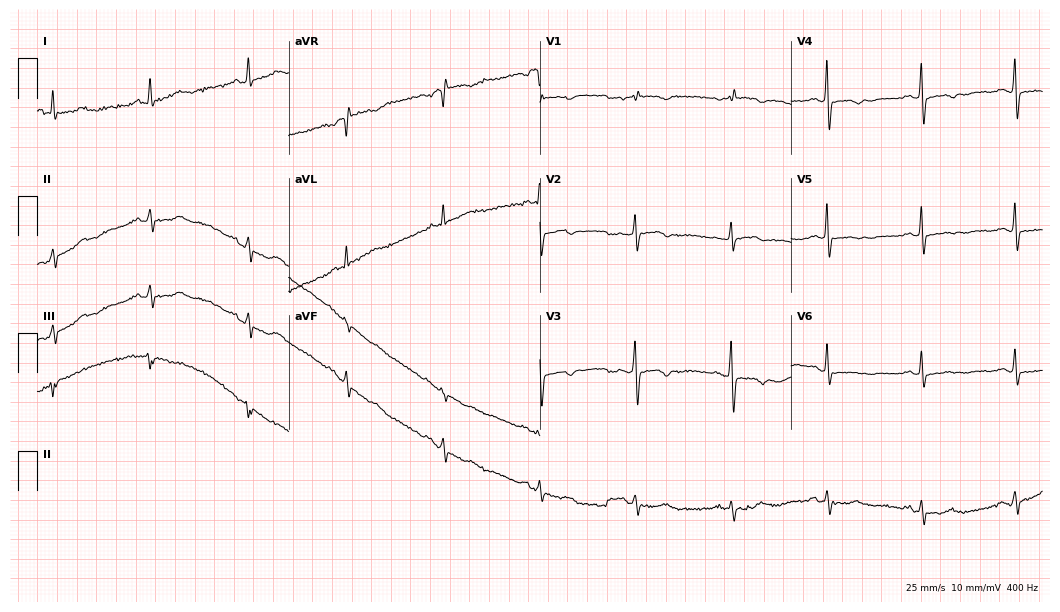
Resting 12-lead electrocardiogram. Patient: a woman, 80 years old. Read as a normal ECG.